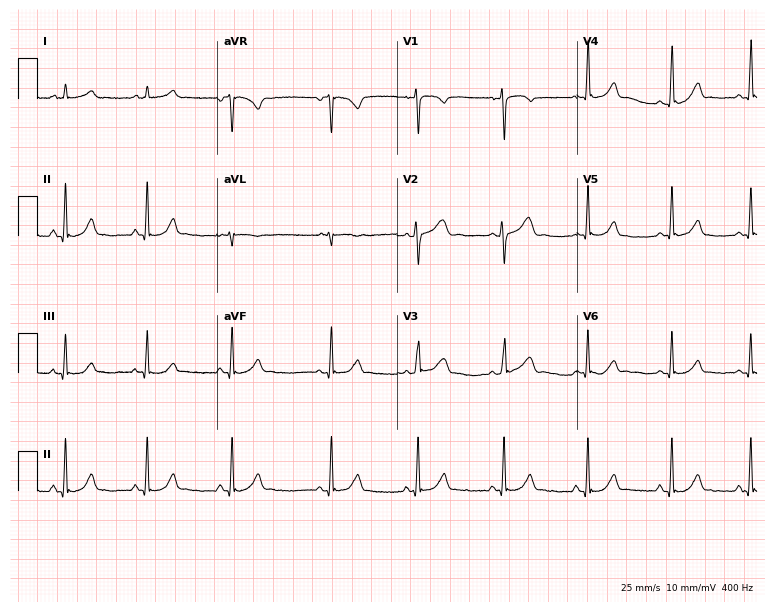
Standard 12-lead ECG recorded from a female, 25 years old (7.3-second recording at 400 Hz). Read as a normal ECG.